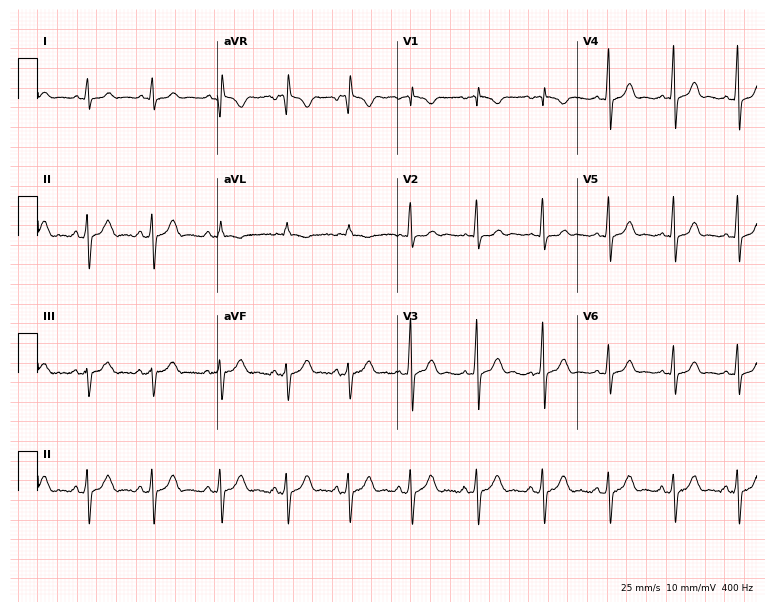
12-lead ECG from an 18-year-old woman. No first-degree AV block, right bundle branch block, left bundle branch block, sinus bradycardia, atrial fibrillation or sinus tachycardia recorded for this tracing. Only these six findings were labelled.